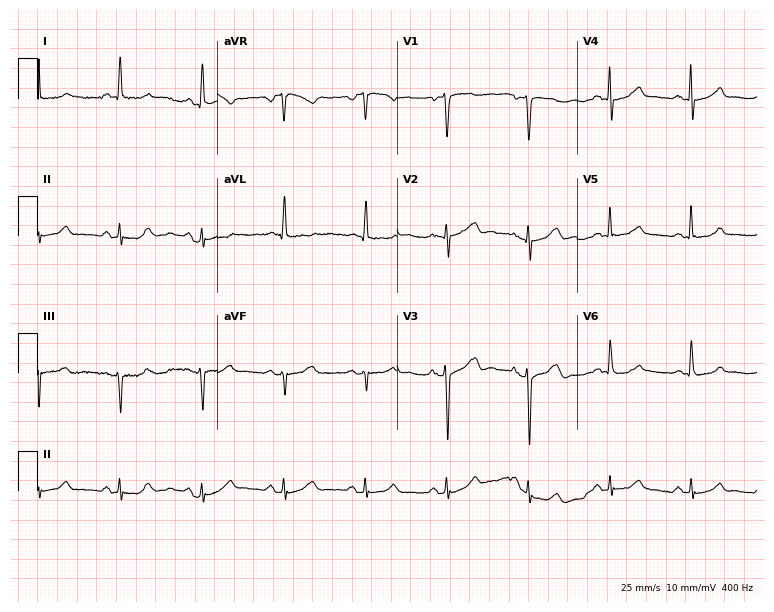
Standard 12-lead ECG recorded from a woman, 72 years old (7.3-second recording at 400 Hz). None of these six findings is recorded: first-degree AV block, right bundle branch block, left bundle branch block, sinus bradycardia, atrial fibrillation, sinus tachycardia. Only these six findings were labelled.